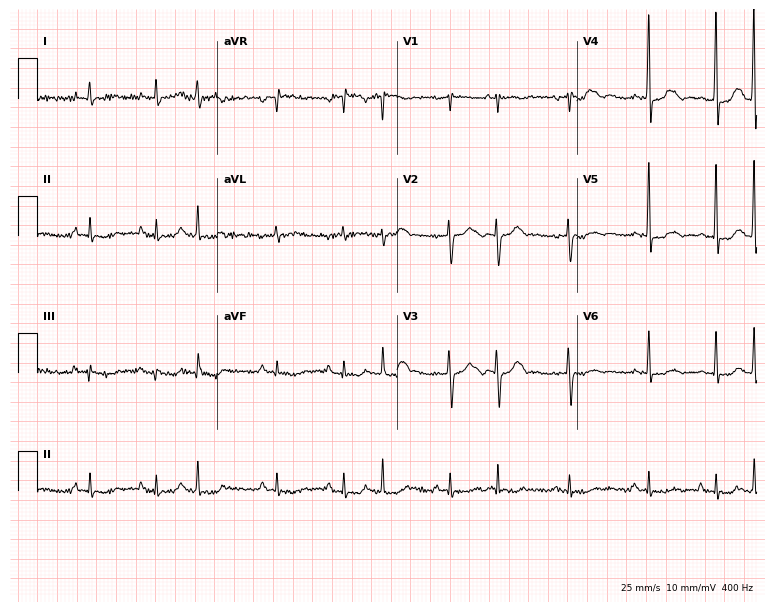
12-lead ECG from a female patient, 69 years old (7.3-second recording at 400 Hz). No first-degree AV block, right bundle branch block, left bundle branch block, sinus bradycardia, atrial fibrillation or sinus tachycardia recorded for this tracing. Only these six findings were labelled.